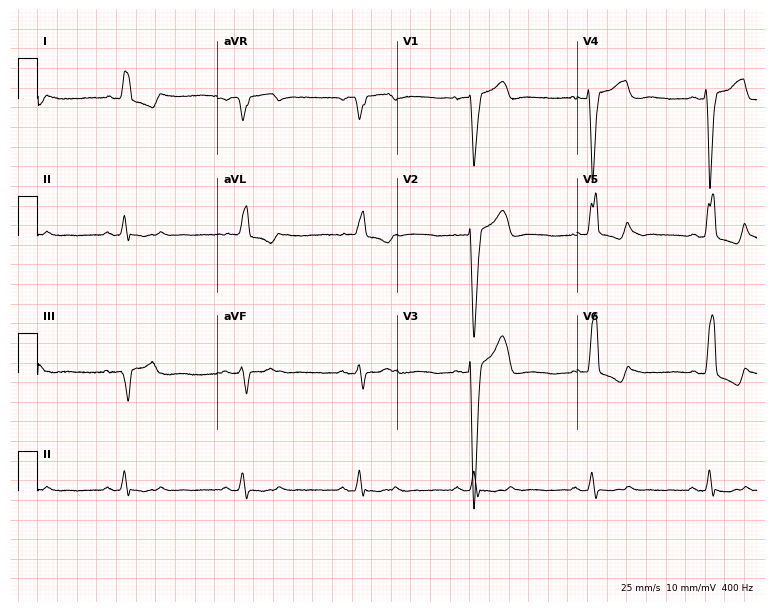
Standard 12-lead ECG recorded from a female patient, 84 years old. The tracing shows left bundle branch block.